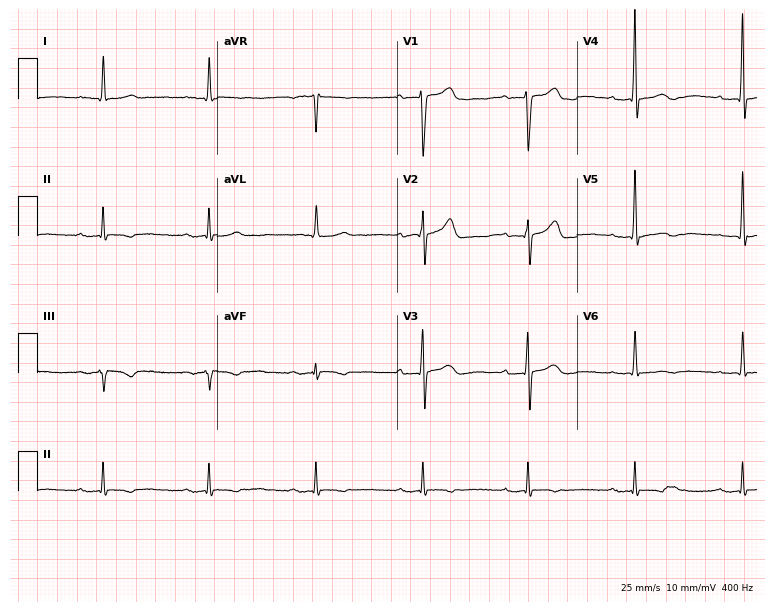
Standard 12-lead ECG recorded from an 84-year-old male. None of these six findings is recorded: first-degree AV block, right bundle branch block, left bundle branch block, sinus bradycardia, atrial fibrillation, sinus tachycardia. Findings outside these six are not listed.